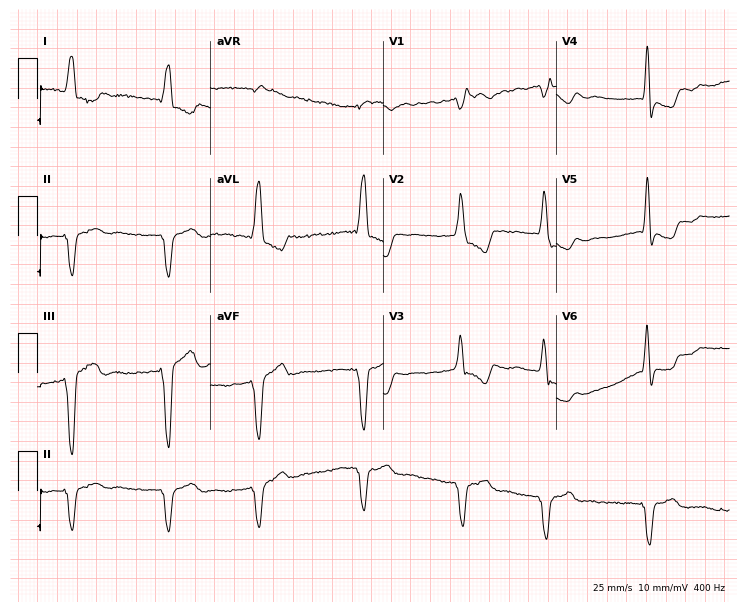
Electrocardiogram (7.1-second recording at 400 Hz), an 80-year-old female patient. Interpretation includes right bundle branch block, atrial fibrillation.